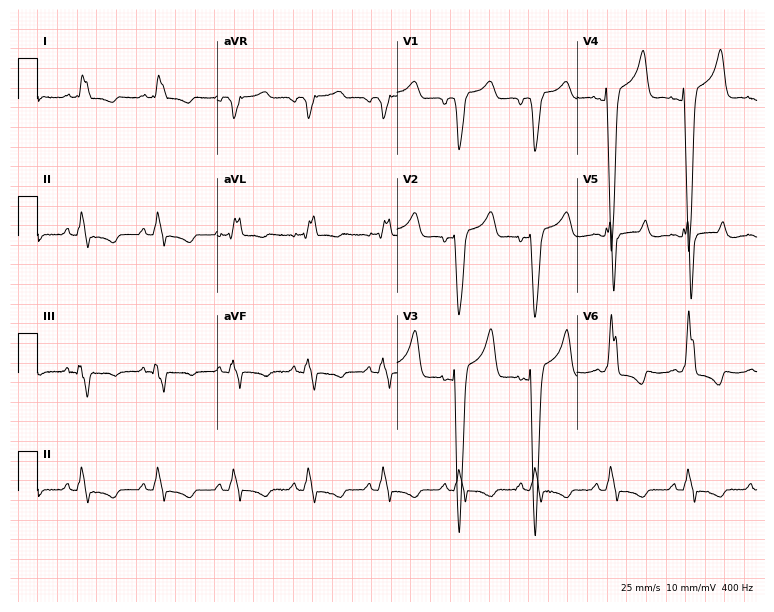
Electrocardiogram (7.3-second recording at 400 Hz), a 71-year-old man. Interpretation includes left bundle branch block.